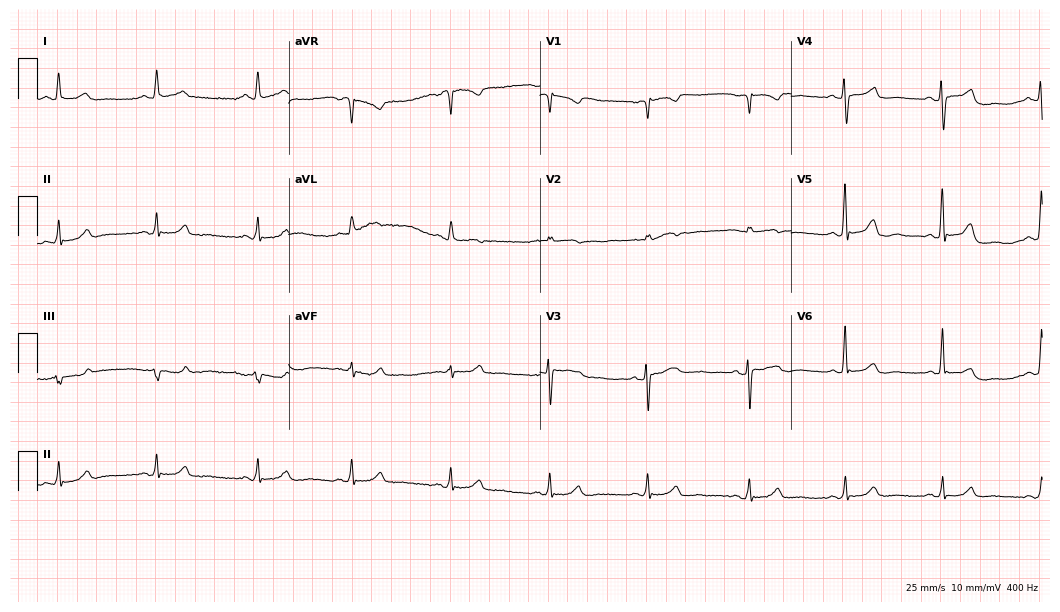
12-lead ECG (10.2-second recording at 400 Hz) from a 72-year-old female patient. Screened for six findings — first-degree AV block, right bundle branch block, left bundle branch block, sinus bradycardia, atrial fibrillation, sinus tachycardia — none is recorded.